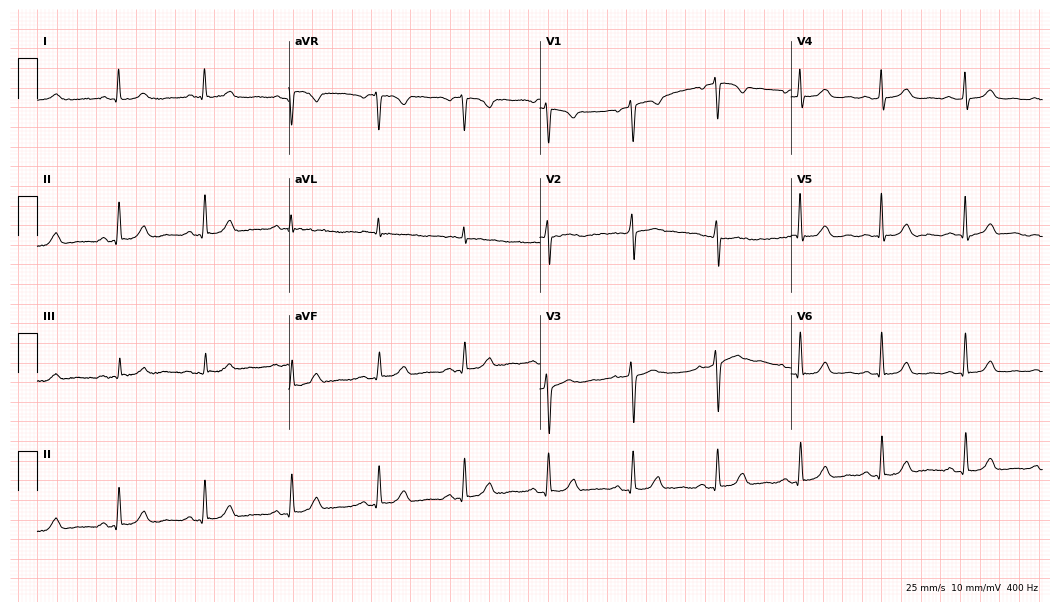
ECG — a 54-year-old female patient. Screened for six findings — first-degree AV block, right bundle branch block, left bundle branch block, sinus bradycardia, atrial fibrillation, sinus tachycardia — none is recorded. Findings outside these six are not listed.